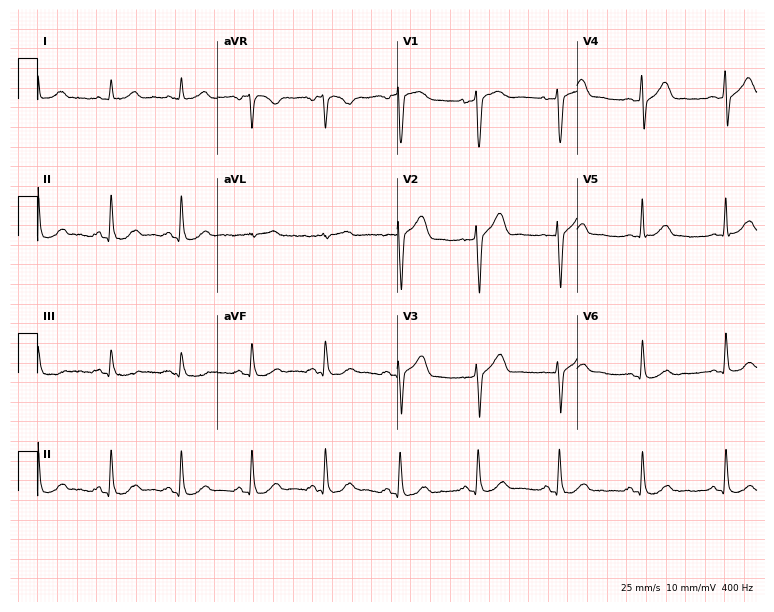
12-lead ECG from a male, 65 years old. Labelled as a normal ECG.